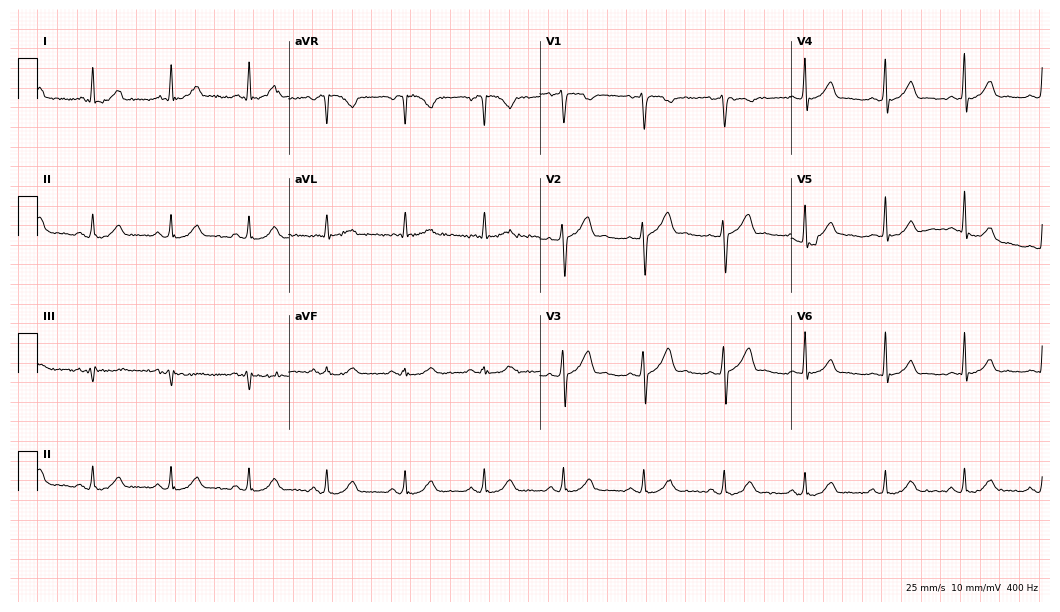
12-lead ECG from a male, 53 years old. Recorded interpretation: within normal limits.